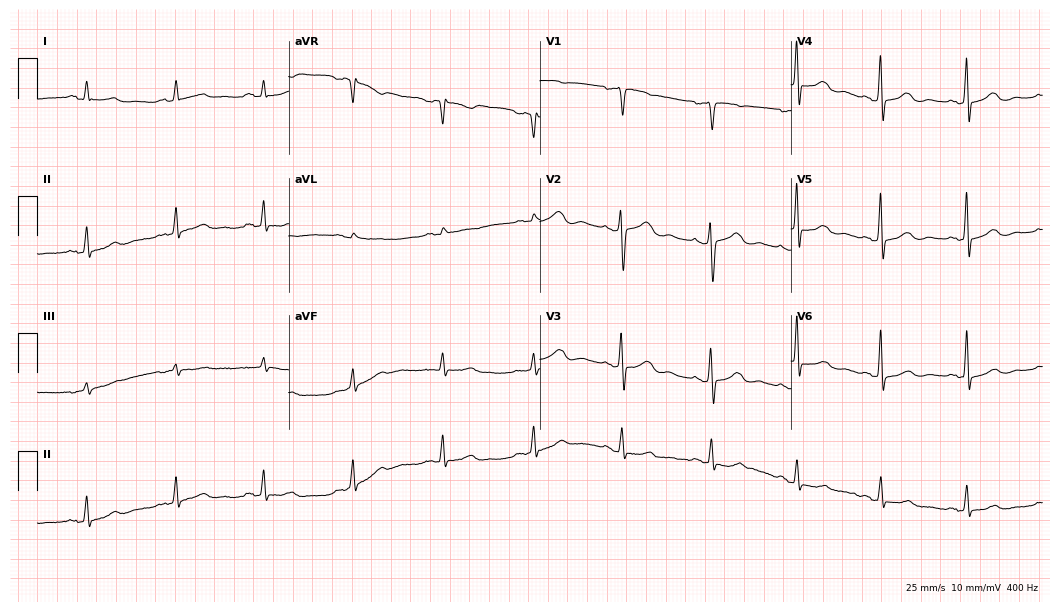
12-lead ECG from a female, 41 years old. Labelled as a normal ECG.